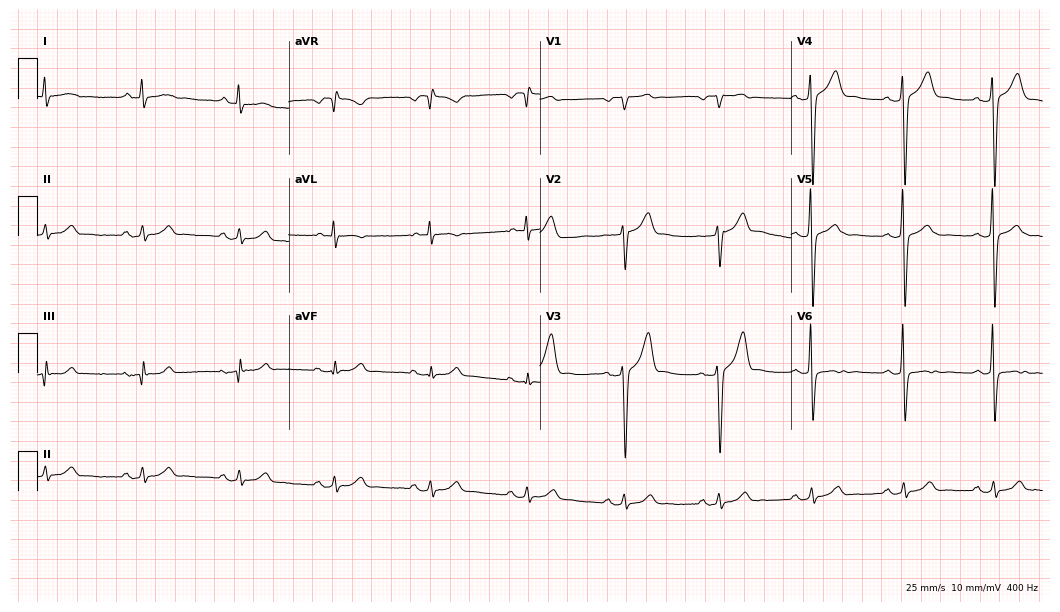
ECG (10.2-second recording at 400 Hz) — a 35-year-old male patient. Labelled as a normal ECG.